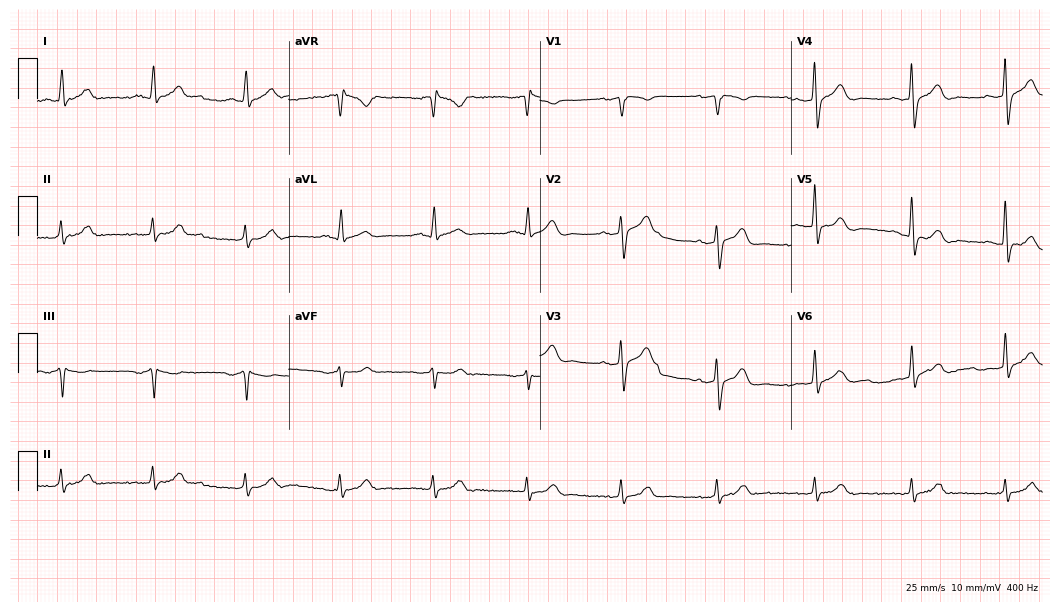
Resting 12-lead electrocardiogram (10.2-second recording at 400 Hz). Patient: a man, 80 years old. Read as a normal ECG.